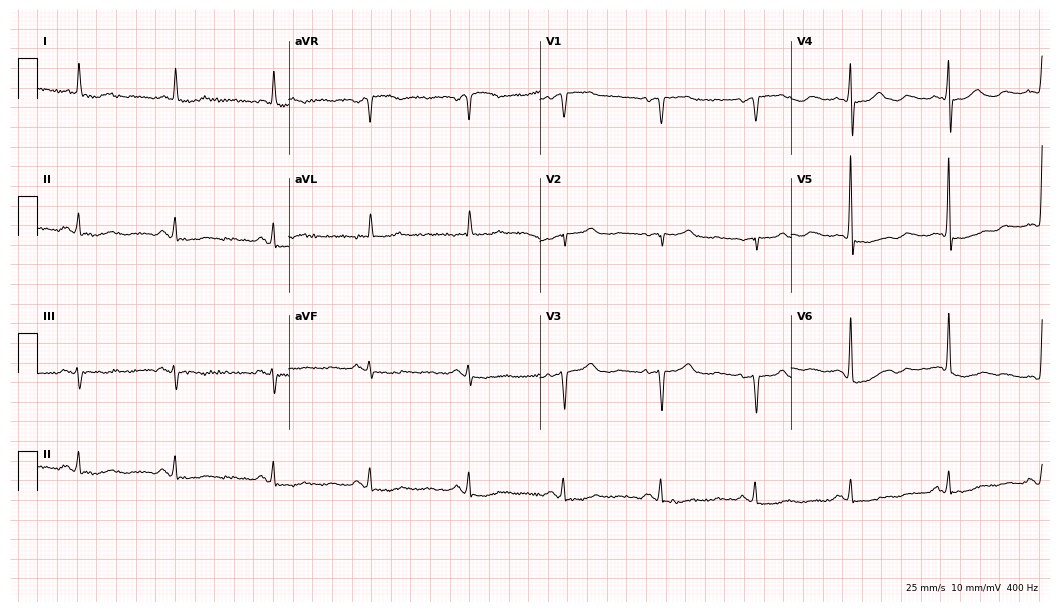
Standard 12-lead ECG recorded from a woman, 80 years old (10.2-second recording at 400 Hz). None of these six findings is recorded: first-degree AV block, right bundle branch block, left bundle branch block, sinus bradycardia, atrial fibrillation, sinus tachycardia. Findings outside these six are not listed.